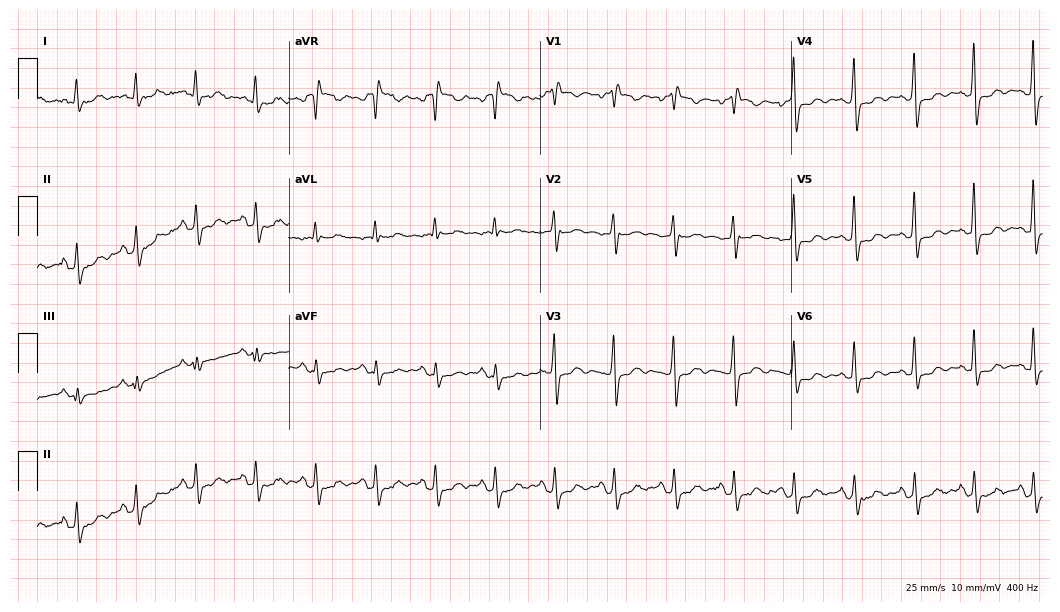
Electrocardiogram, a woman, 47 years old. Interpretation includes right bundle branch block (RBBB).